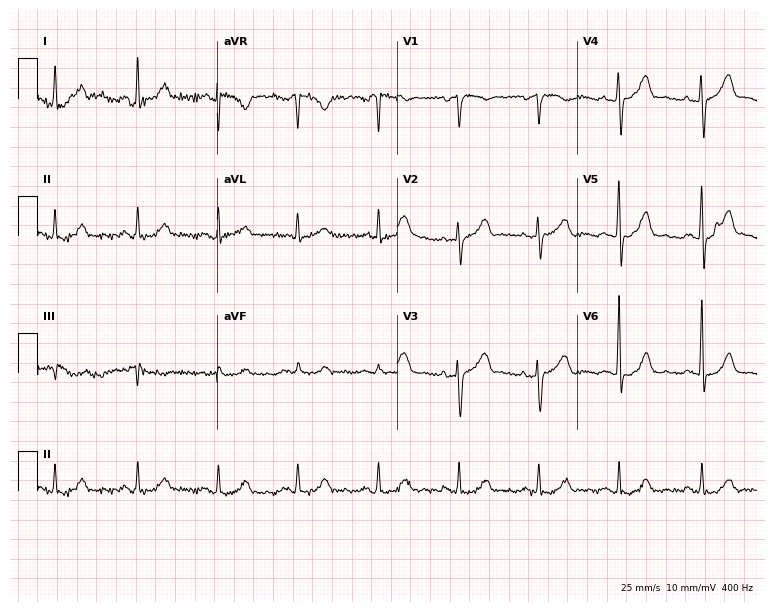
Standard 12-lead ECG recorded from a male patient, 50 years old (7.3-second recording at 400 Hz). Read as a normal ECG.